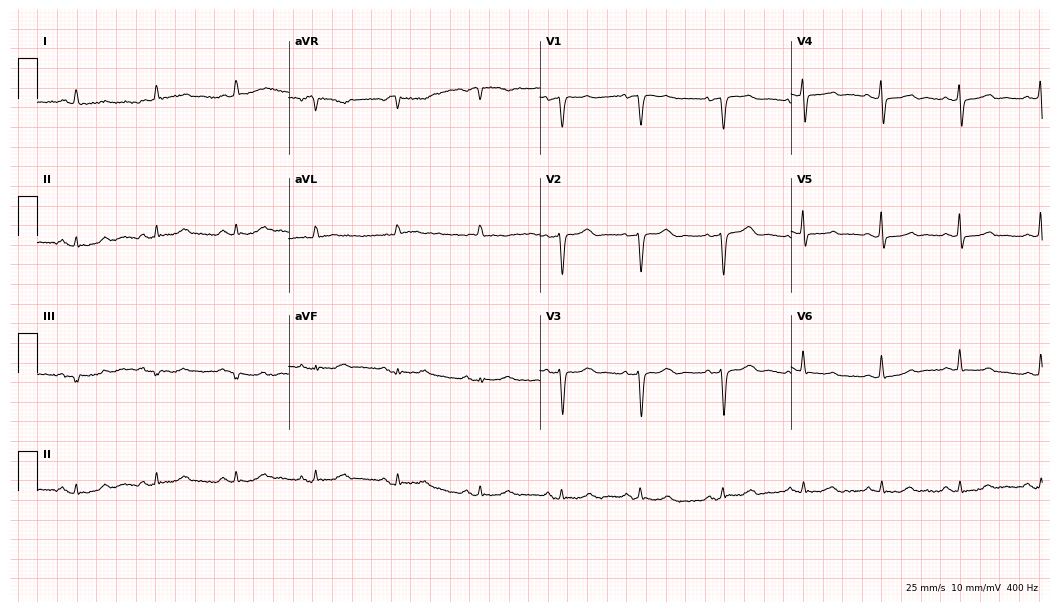
ECG (10.2-second recording at 400 Hz) — a 75-year-old female. Screened for six findings — first-degree AV block, right bundle branch block, left bundle branch block, sinus bradycardia, atrial fibrillation, sinus tachycardia — none is recorded. Findings outside these six are not listed.